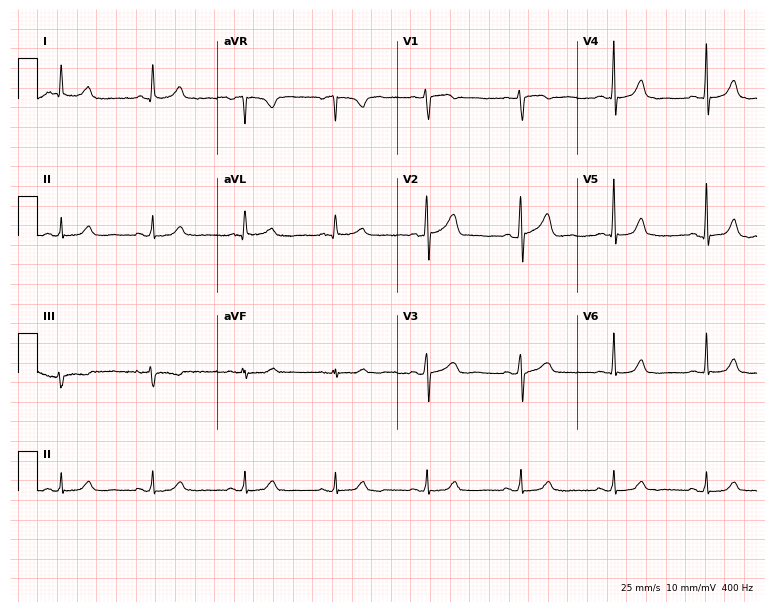
Standard 12-lead ECG recorded from a female, 81 years old. Read as a normal ECG.